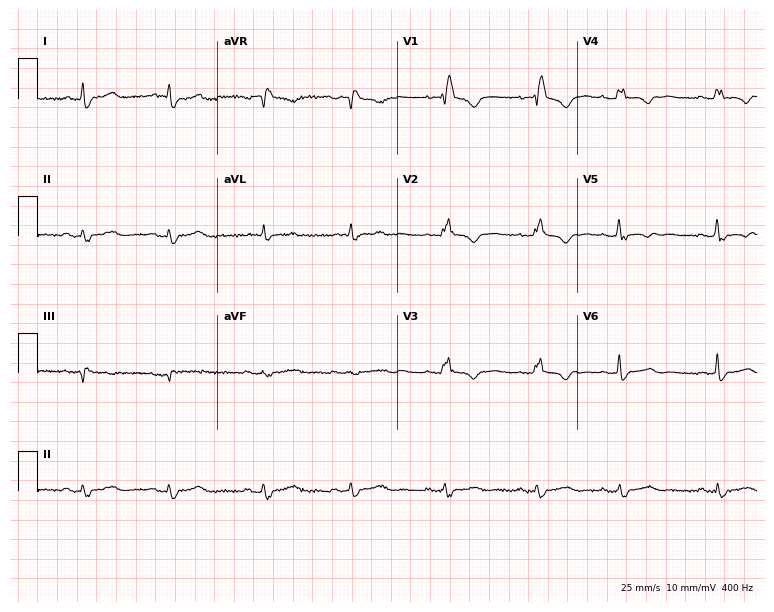
ECG (7.3-second recording at 400 Hz) — a 54-year-old female. Findings include right bundle branch block.